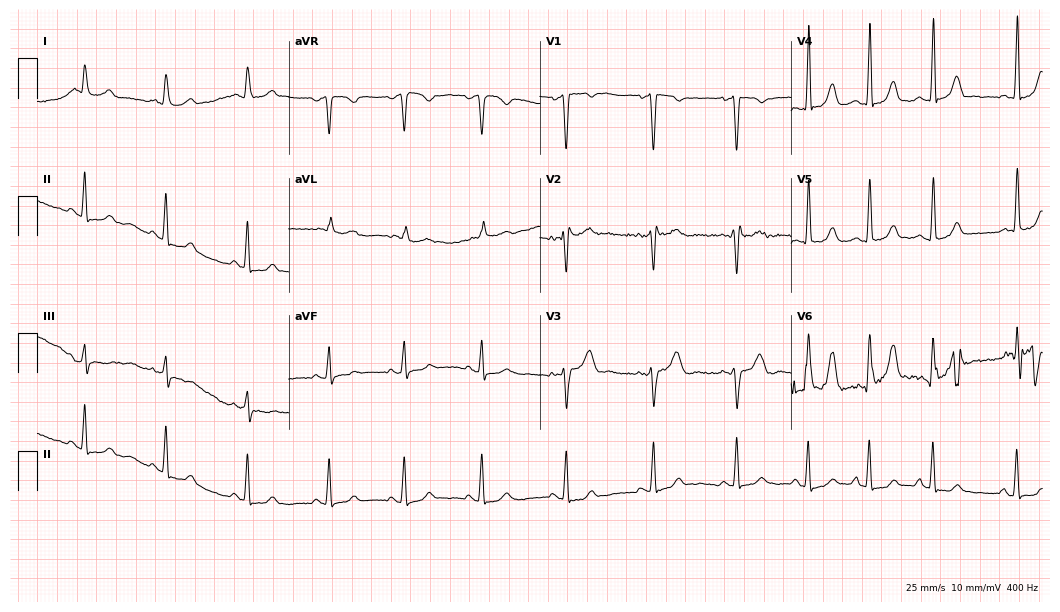
ECG (10.2-second recording at 400 Hz) — a 26-year-old female patient. Screened for six findings — first-degree AV block, right bundle branch block, left bundle branch block, sinus bradycardia, atrial fibrillation, sinus tachycardia — none is recorded. Findings outside these six are not listed.